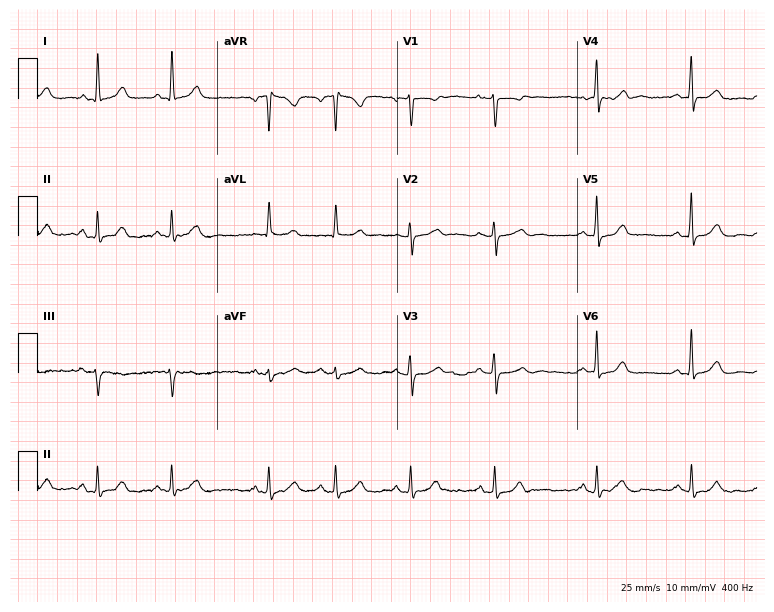
12-lead ECG (7.3-second recording at 400 Hz) from a 65-year-old female patient. Labelled as a normal ECG.